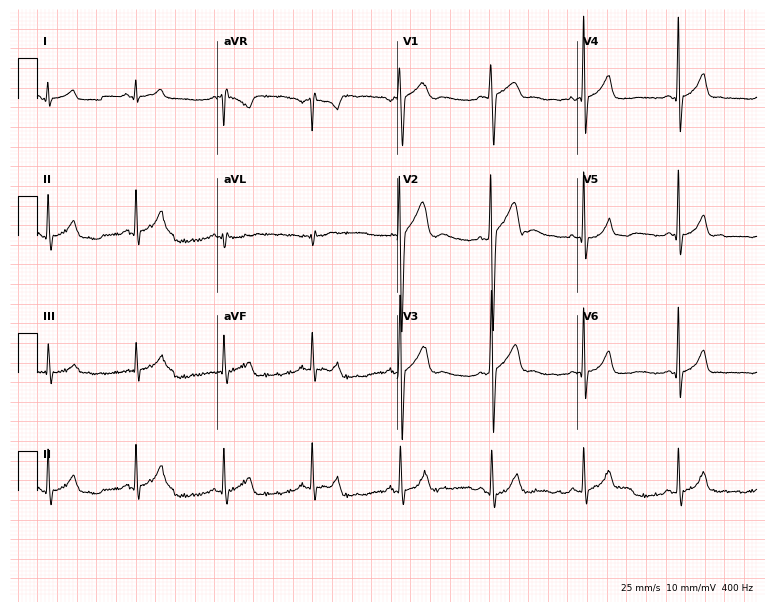
Standard 12-lead ECG recorded from a 17-year-old male (7.3-second recording at 400 Hz). Read as a normal ECG.